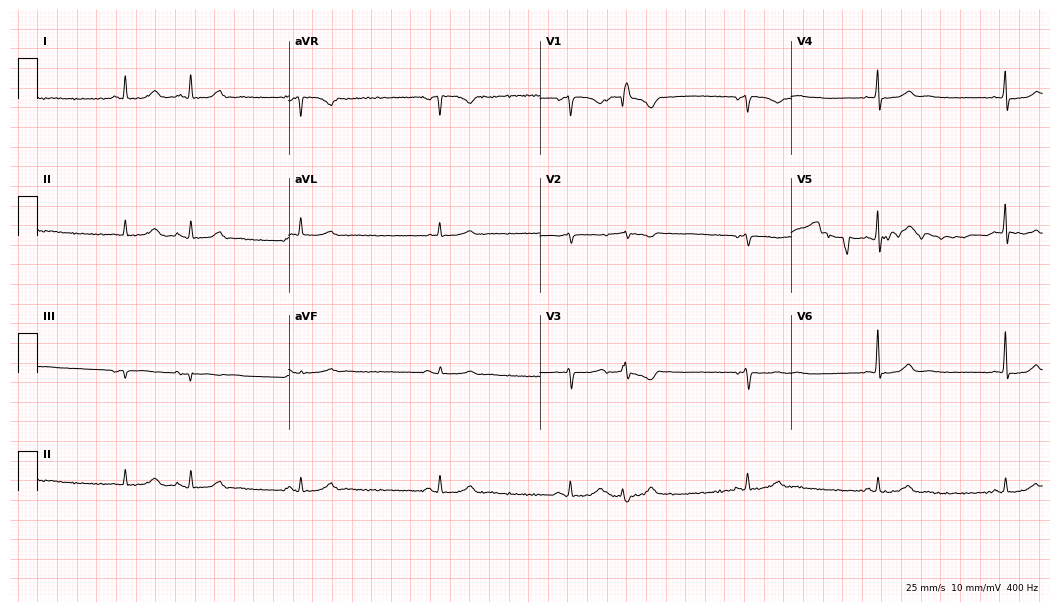
Electrocardiogram (10.2-second recording at 400 Hz), a woman, 74 years old. Of the six screened findings (first-degree AV block, right bundle branch block, left bundle branch block, sinus bradycardia, atrial fibrillation, sinus tachycardia), none is recorded.